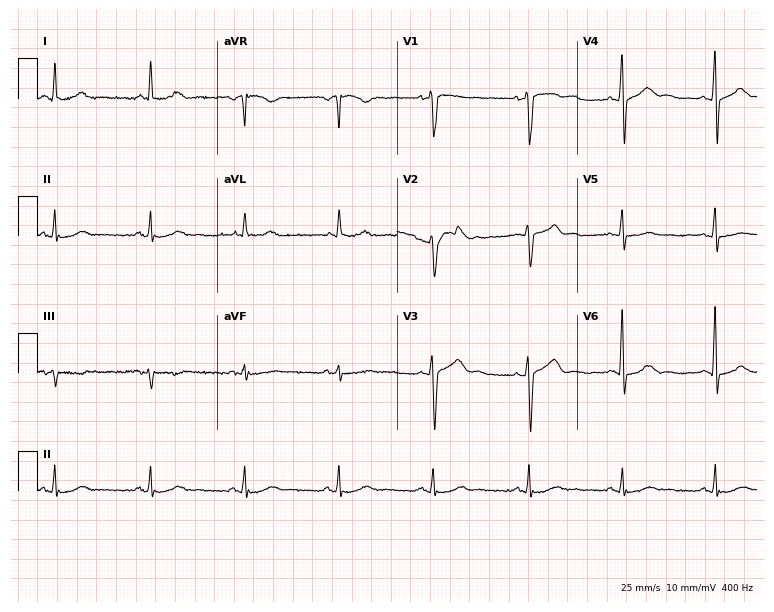
Electrocardiogram (7.3-second recording at 400 Hz), a 63-year-old man. Overall reading on record: normal ECG.